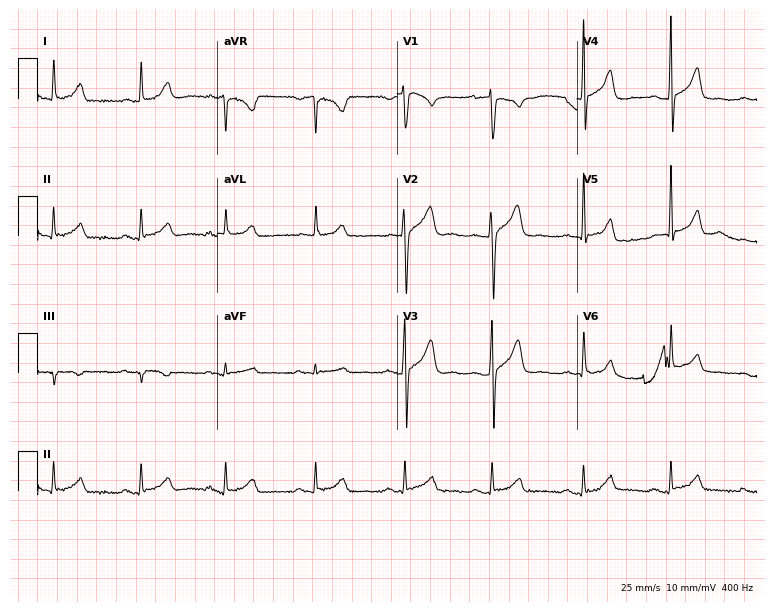
Resting 12-lead electrocardiogram (7.3-second recording at 400 Hz). Patient: a male, 25 years old. Read as a normal ECG.